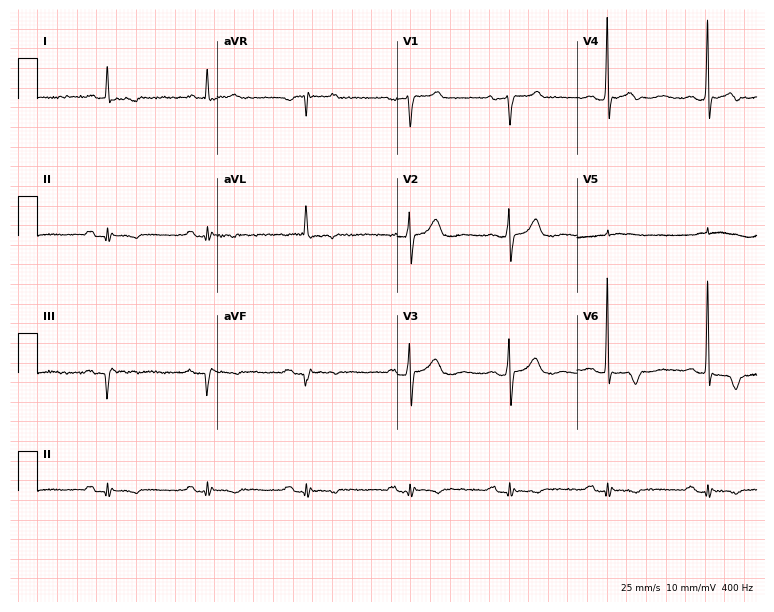
Resting 12-lead electrocardiogram (7.3-second recording at 400 Hz). Patient: a 73-year-old man. None of these six findings is recorded: first-degree AV block, right bundle branch block, left bundle branch block, sinus bradycardia, atrial fibrillation, sinus tachycardia. Only these six findings were labelled.